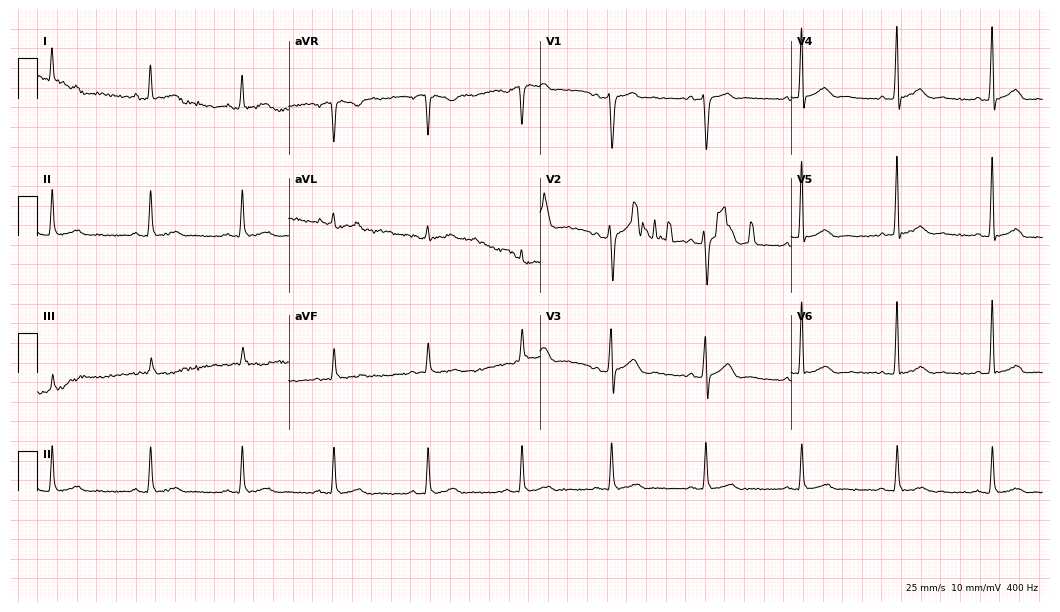
Standard 12-lead ECG recorded from a 51-year-old male. None of these six findings is recorded: first-degree AV block, right bundle branch block, left bundle branch block, sinus bradycardia, atrial fibrillation, sinus tachycardia.